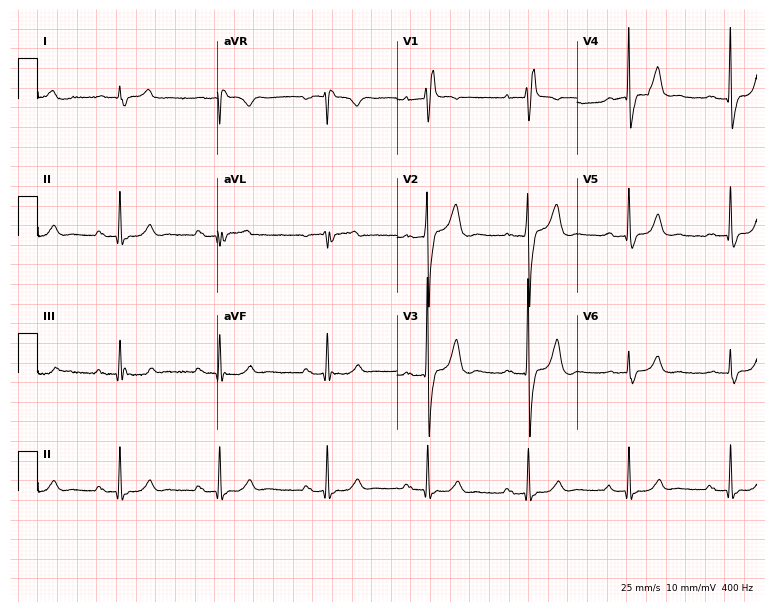
Standard 12-lead ECG recorded from a 72-year-old woman. The tracing shows right bundle branch block (RBBB).